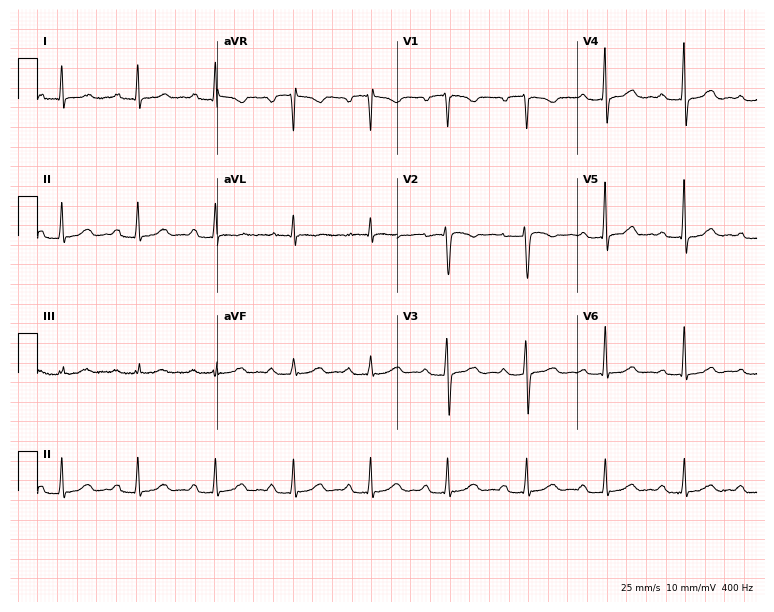
Electrocardiogram, a 47-year-old woman. Interpretation includes first-degree AV block.